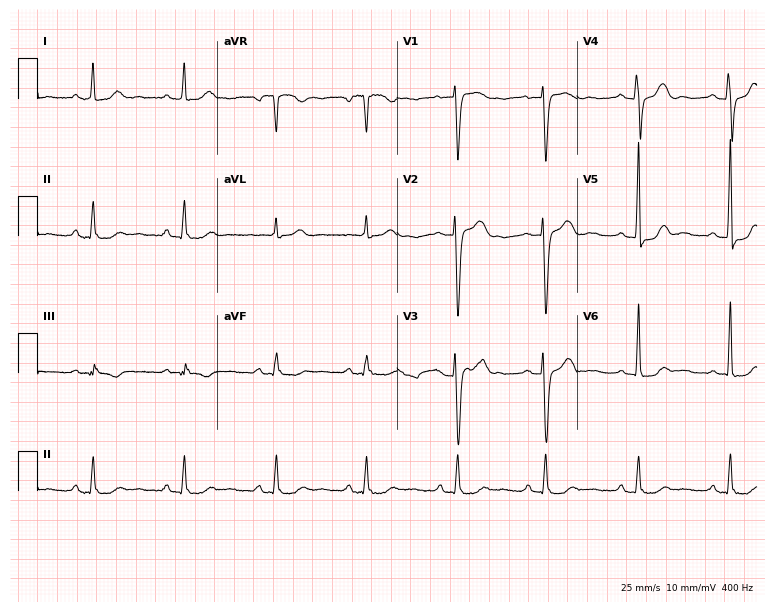
12-lead ECG (7.3-second recording at 400 Hz) from a male, 62 years old. Labelled as a normal ECG.